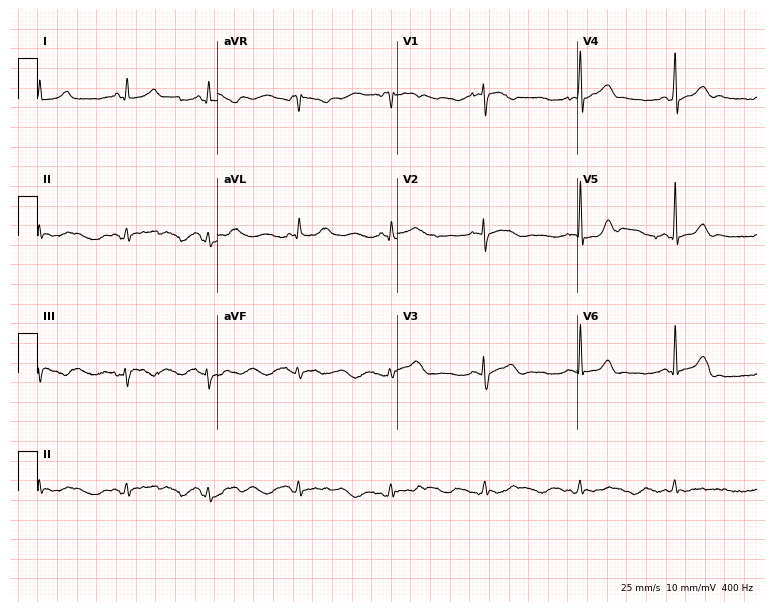
12-lead ECG (7.3-second recording at 400 Hz) from a 22-year-old female patient. Screened for six findings — first-degree AV block, right bundle branch block (RBBB), left bundle branch block (LBBB), sinus bradycardia, atrial fibrillation (AF), sinus tachycardia — none is recorded. Other findings, if any, are not listed.